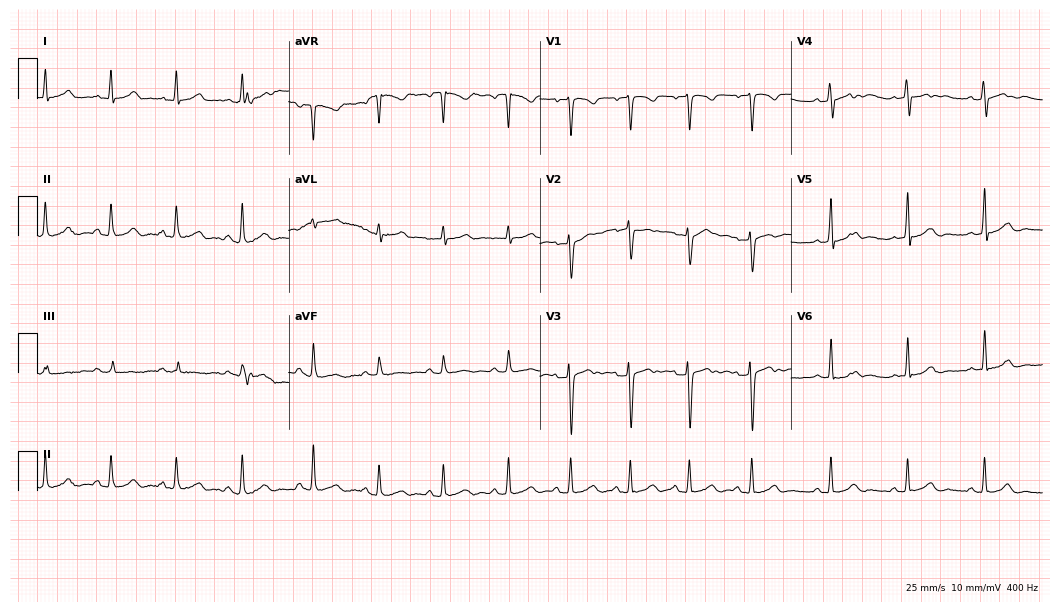
Standard 12-lead ECG recorded from a 20-year-old woman (10.2-second recording at 400 Hz). None of these six findings is recorded: first-degree AV block, right bundle branch block, left bundle branch block, sinus bradycardia, atrial fibrillation, sinus tachycardia.